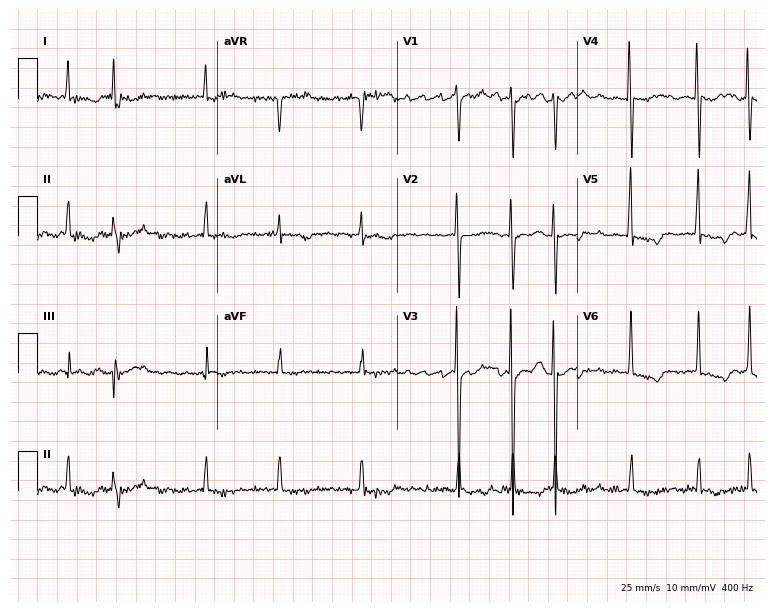
Resting 12-lead electrocardiogram (7.3-second recording at 400 Hz). Patient: a 75-year-old man. The tracing shows atrial fibrillation.